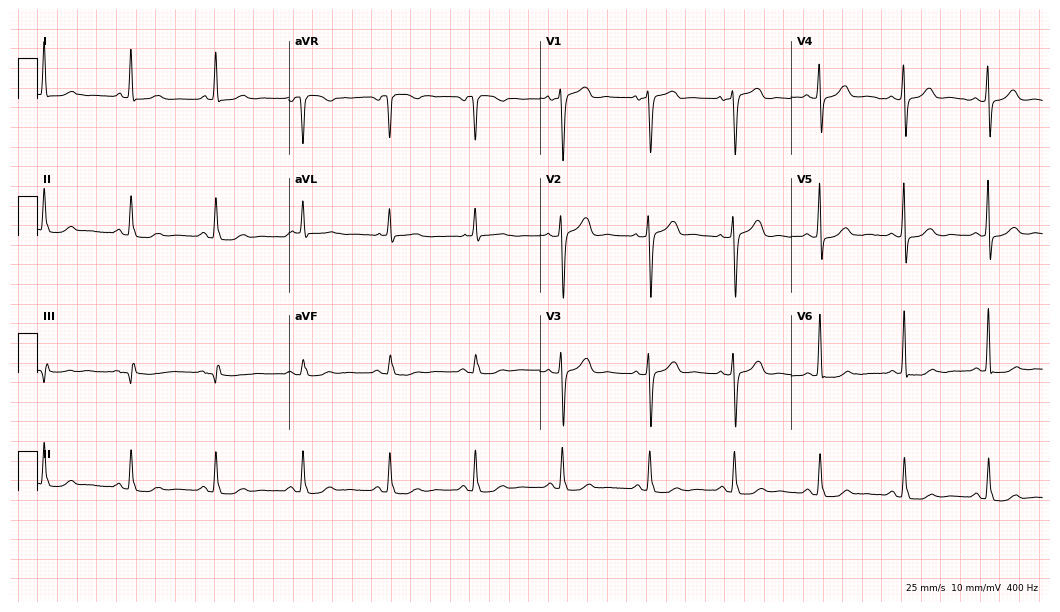
Standard 12-lead ECG recorded from a 70-year-old female (10.2-second recording at 400 Hz). None of these six findings is recorded: first-degree AV block, right bundle branch block, left bundle branch block, sinus bradycardia, atrial fibrillation, sinus tachycardia.